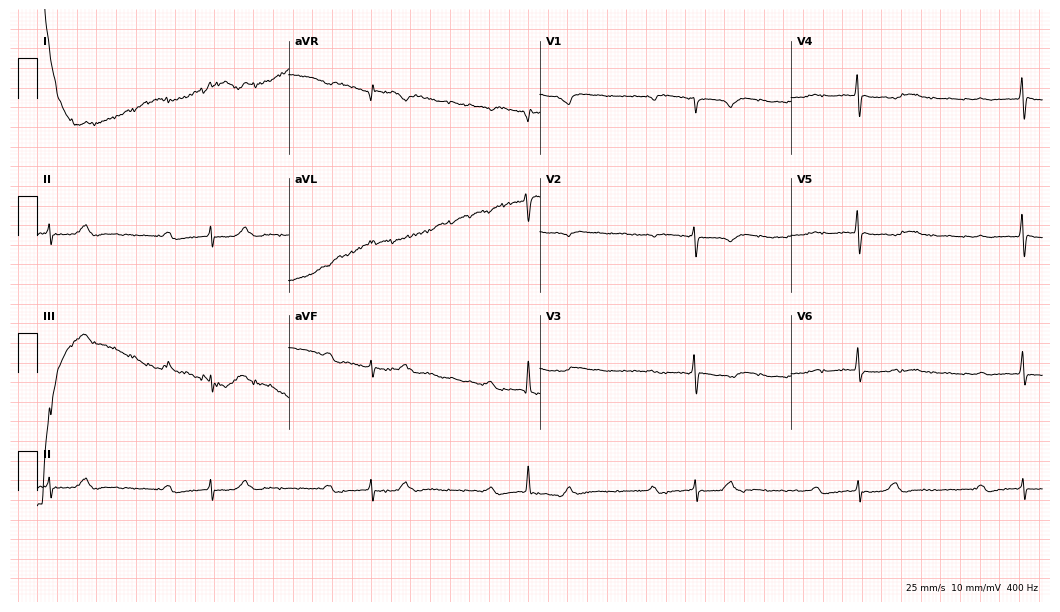
Standard 12-lead ECG recorded from a woman, 72 years old. None of these six findings is recorded: first-degree AV block, right bundle branch block (RBBB), left bundle branch block (LBBB), sinus bradycardia, atrial fibrillation (AF), sinus tachycardia.